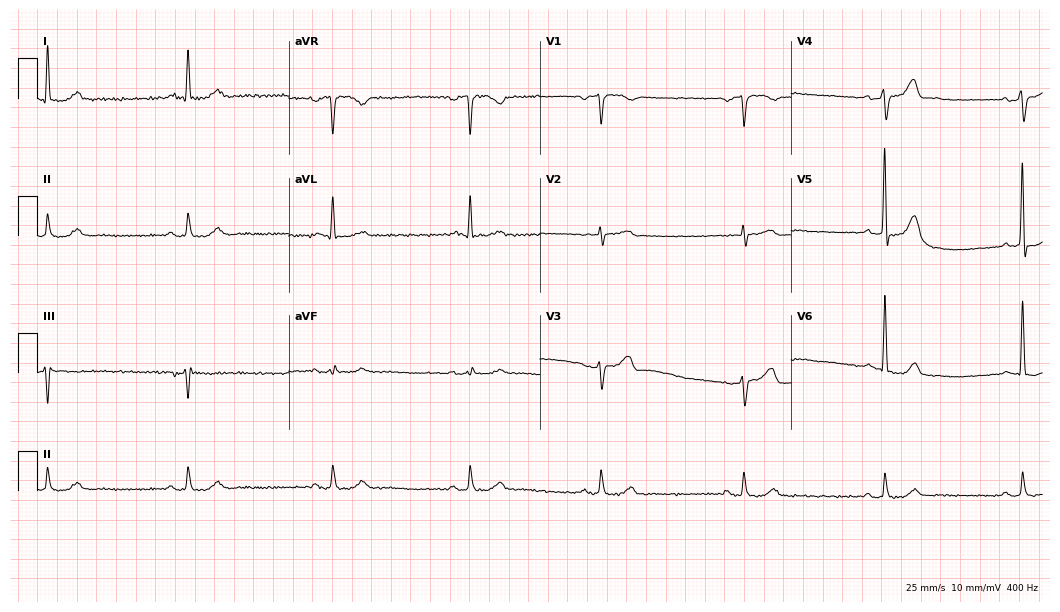
Electrocardiogram (10.2-second recording at 400 Hz), a male, 66 years old. Interpretation includes sinus bradycardia (a sinus rate of 50 beats per minute or less).